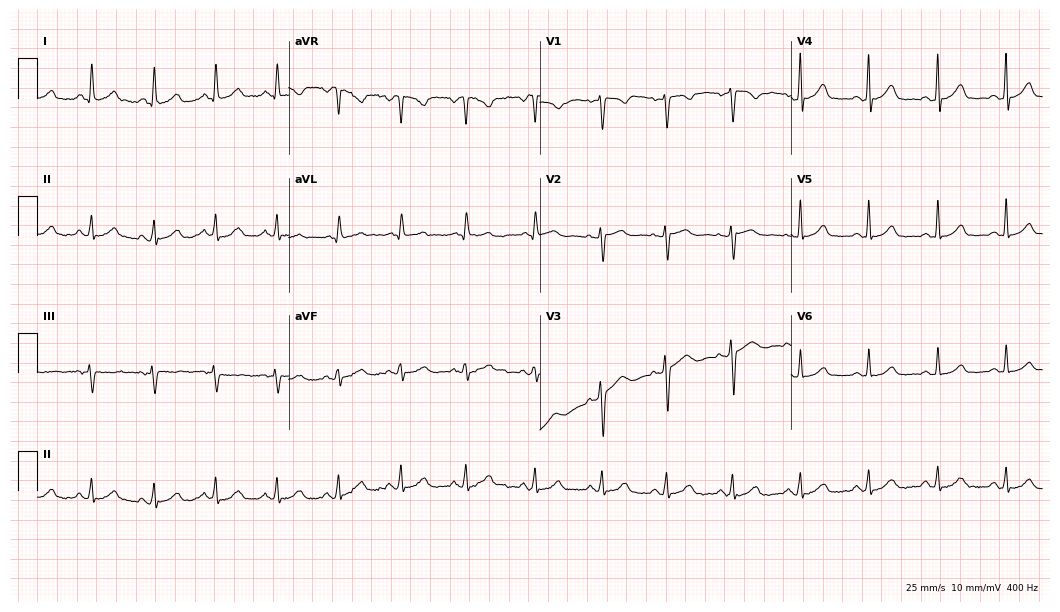
Electrocardiogram (10.2-second recording at 400 Hz), a female, 41 years old. Overall reading on record: normal ECG.